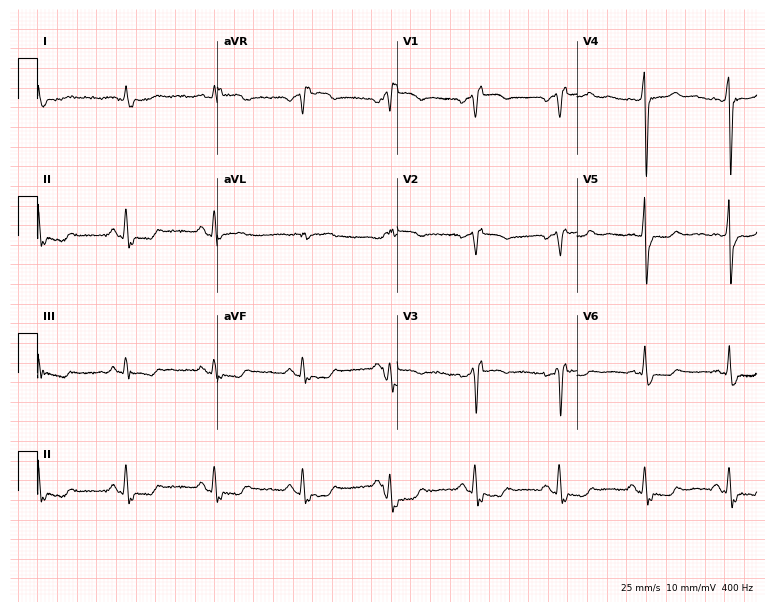
12-lead ECG (7.3-second recording at 400 Hz) from a 79-year-old male. Findings include first-degree AV block, right bundle branch block.